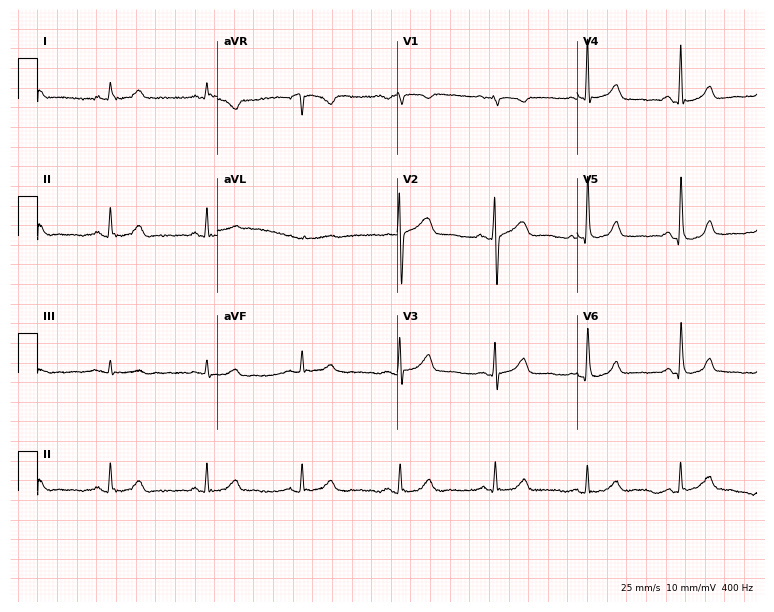
ECG — a woman, 72 years old. Labelled as a normal ECG.